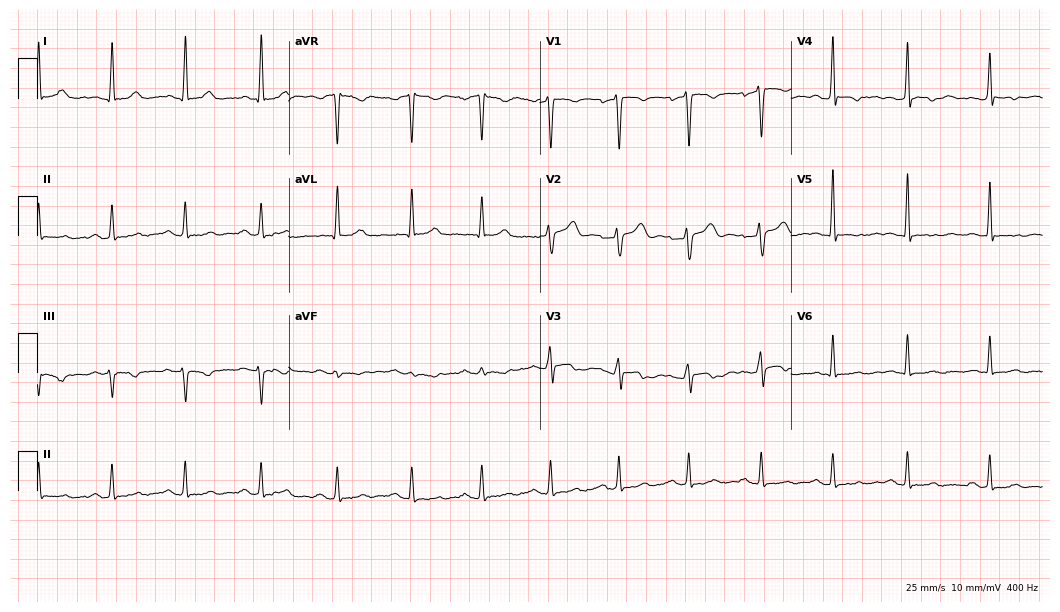
Standard 12-lead ECG recorded from a 33-year-old male patient (10.2-second recording at 400 Hz). None of these six findings is recorded: first-degree AV block, right bundle branch block, left bundle branch block, sinus bradycardia, atrial fibrillation, sinus tachycardia.